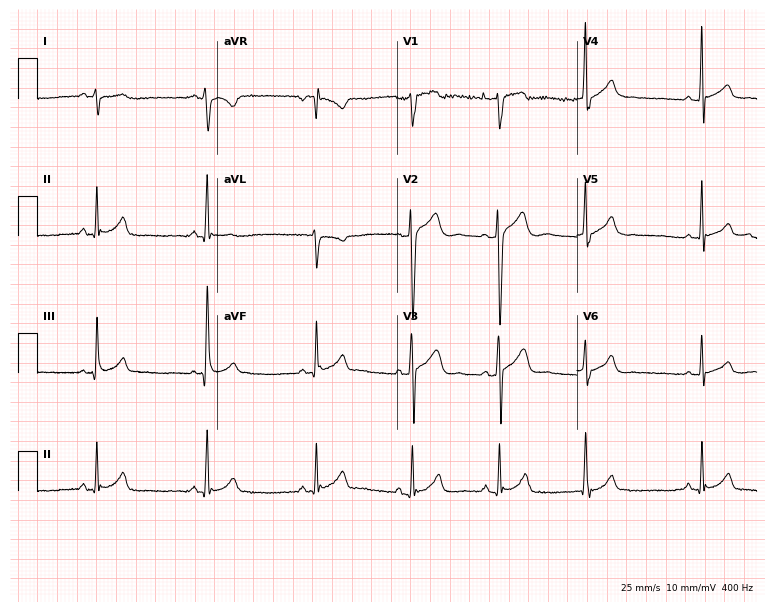
Electrocardiogram (7.3-second recording at 400 Hz), a man, 18 years old. Of the six screened findings (first-degree AV block, right bundle branch block, left bundle branch block, sinus bradycardia, atrial fibrillation, sinus tachycardia), none is recorded. Only these six findings were labelled.